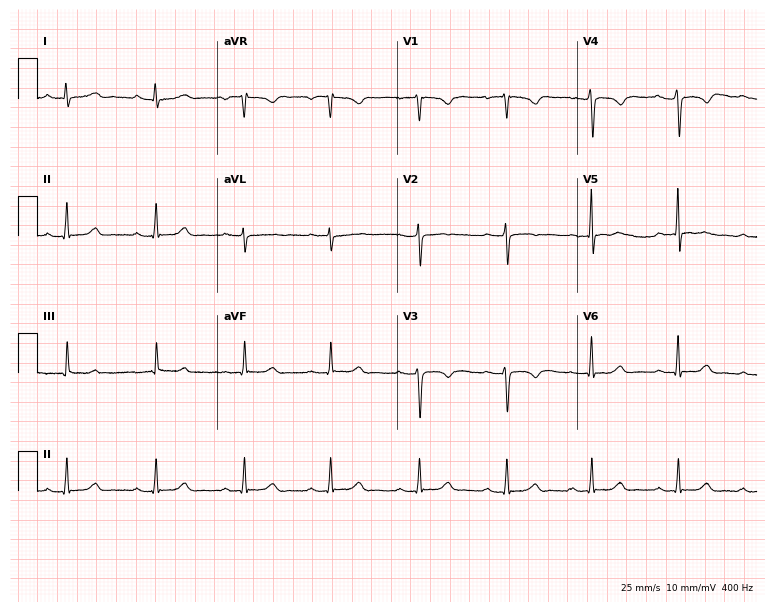
ECG — a 41-year-old female patient. Screened for six findings — first-degree AV block, right bundle branch block (RBBB), left bundle branch block (LBBB), sinus bradycardia, atrial fibrillation (AF), sinus tachycardia — none is recorded. Other findings, if any, are not listed.